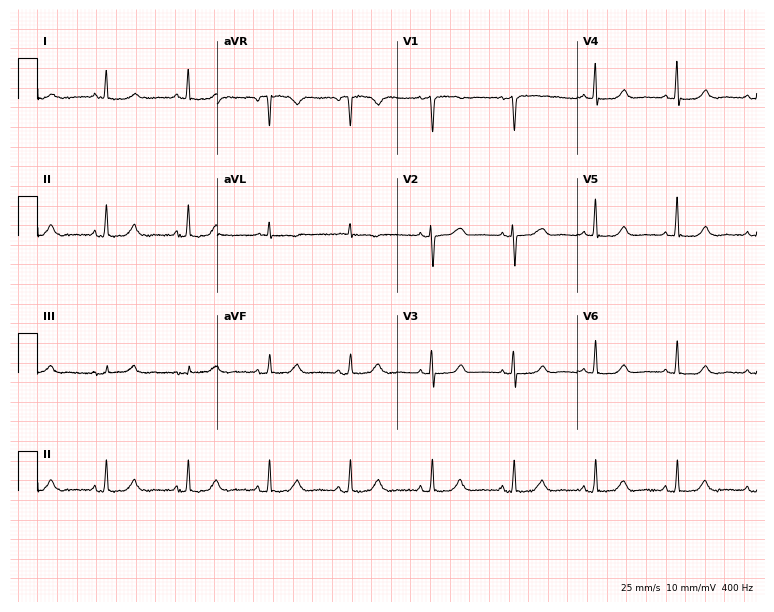
12-lead ECG from a 57-year-old female patient (7.3-second recording at 400 Hz). No first-degree AV block, right bundle branch block, left bundle branch block, sinus bradycardia, atrial fibrillation or sinus tachycardia recorded for this tracing. Other findings, if any, are not listed.